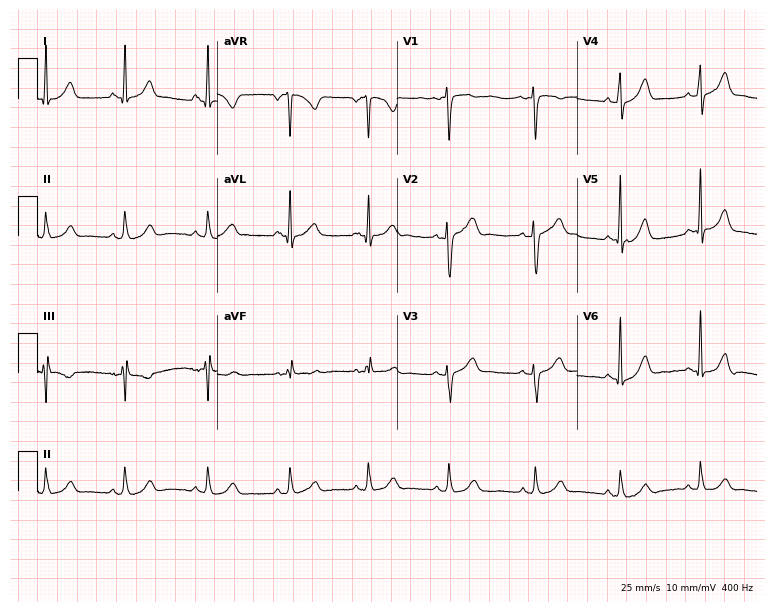
Resting 12-lead electrocardiogram. Patient: a female, 28 years old. Read as a normal ECG.